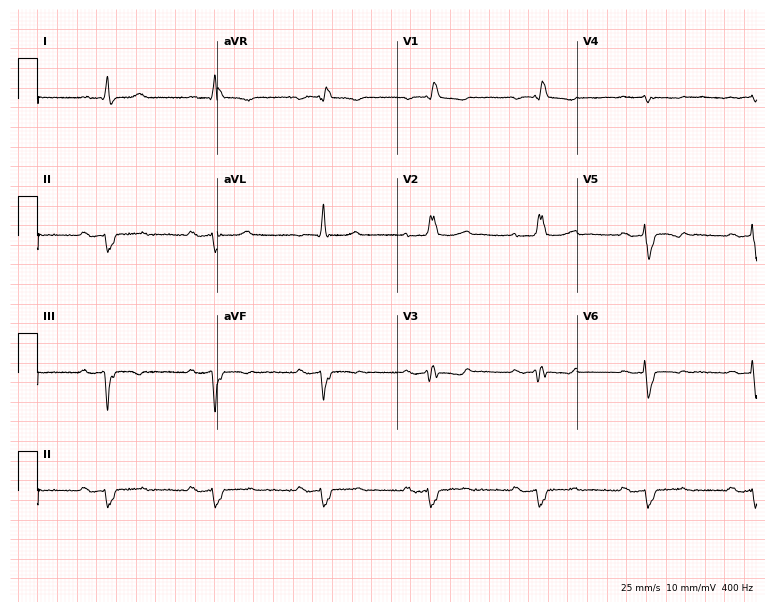
12-lead ECG from a male, 66 years old. Findings include first-degree AV block, right bundle branch block.